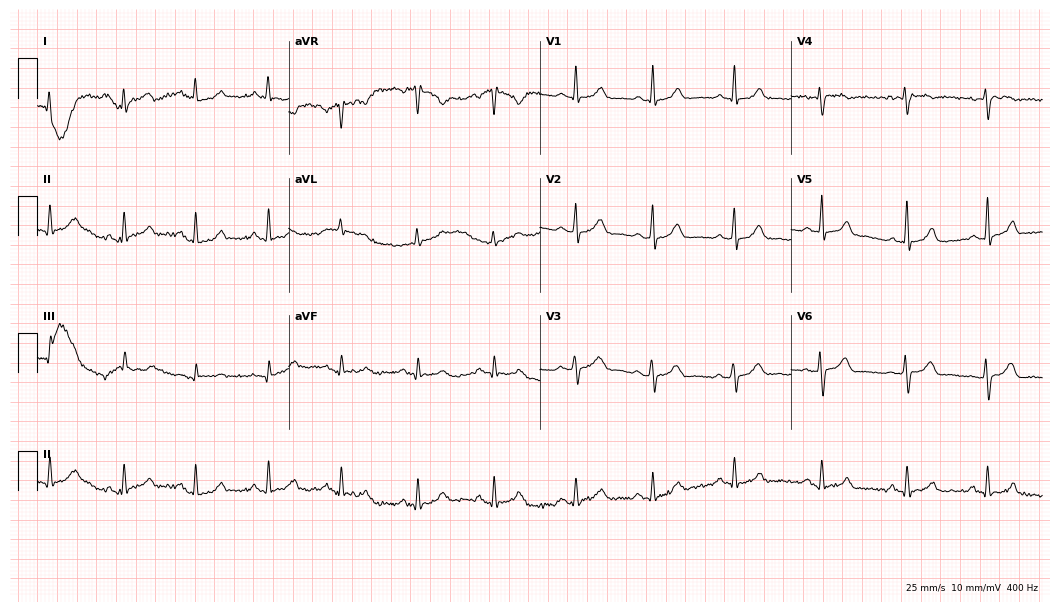
Resting 12-lead electrocardiogram. Patient: a 39-year-old female. Read as a normal ECG.